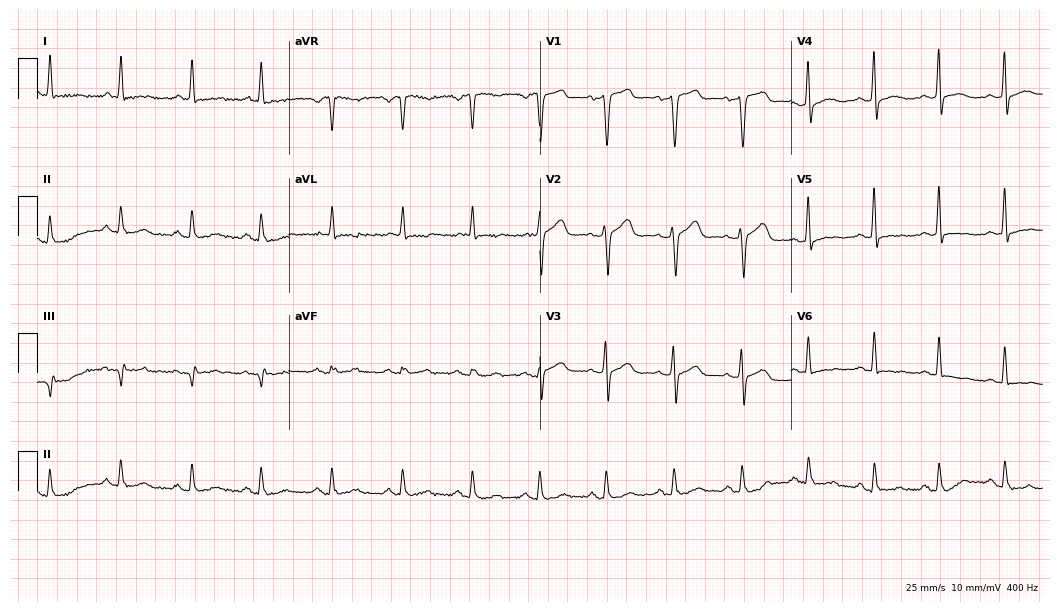
Resting 12-lead electrocardiogram (10.2-second recording at 400 Hz). Patient: a female, 62 years old. None of these six findings is recorded: first-degree AV block, right bundle branch block, left bundle branch block, sinus bradycardia, atrial fibrillation, sinus tachycardia.